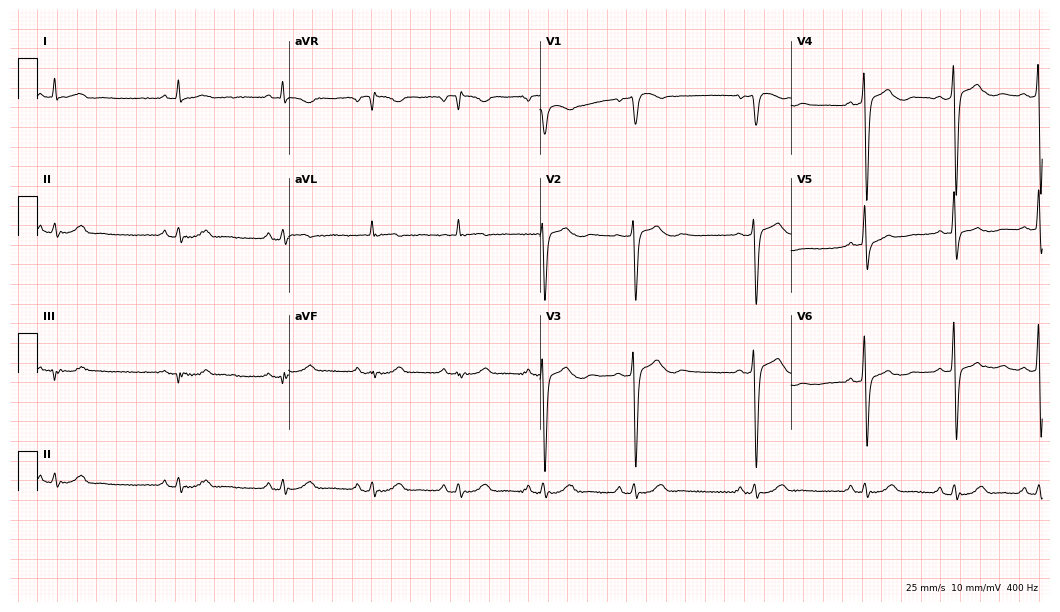
Standard 12-lead ECG recorded from a 52-year-old male. None of these six findings is recorded: first-degree AV block, right bundle branch block (RBBB), left bundle branch block (LBBB), sinus bradycardia, atrial fibrillation (AF), sinus tachycardia.